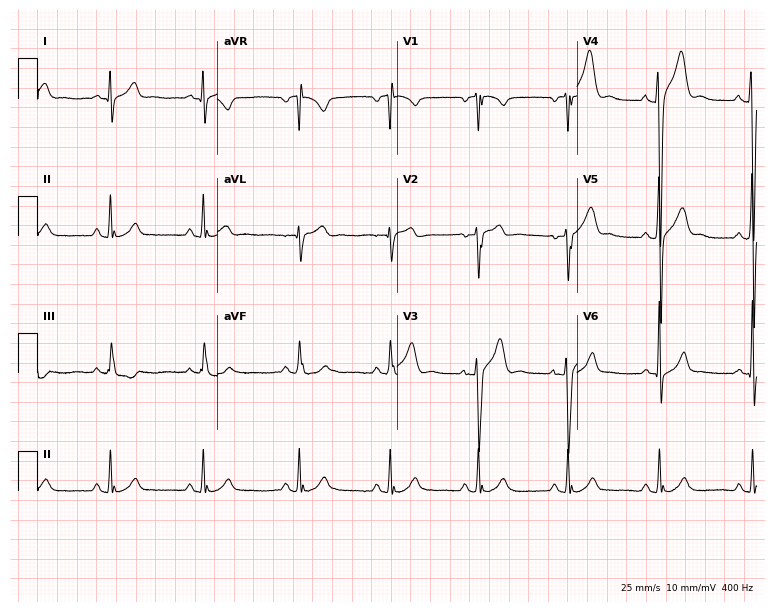
Electrocardiogram, a 20-year-old man. Of the six screened findings (first-degree AV block, right bundle branch block (RBBB), left bundle branch block (LBBB), sinus bradycardia, atrial fibrillation (AF), sinus tachycardia), none is recorded.